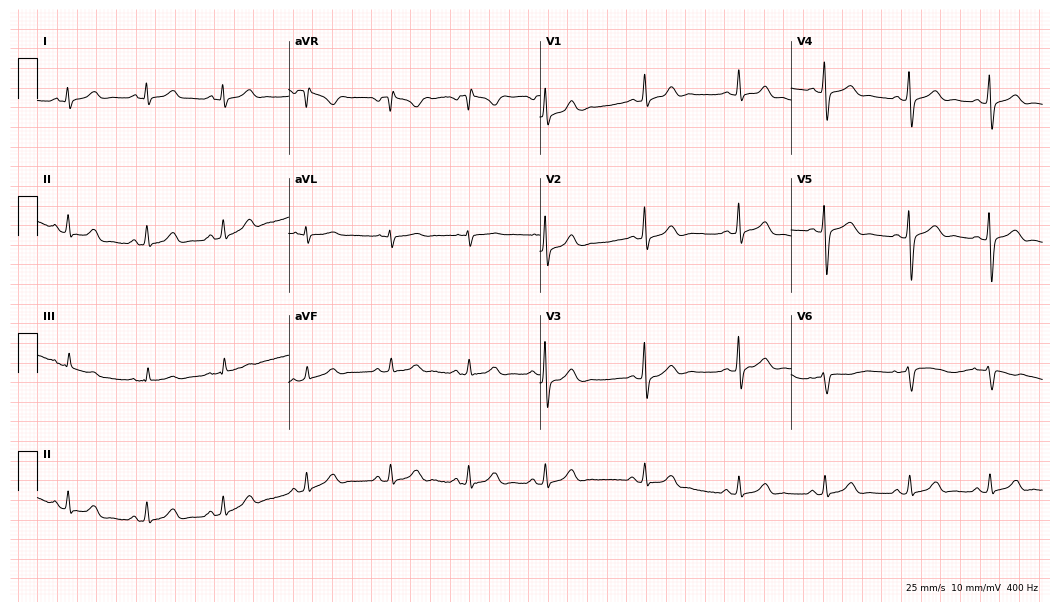
12-lead ECG from a female, 36 years old. Labelled as a normal ECG.